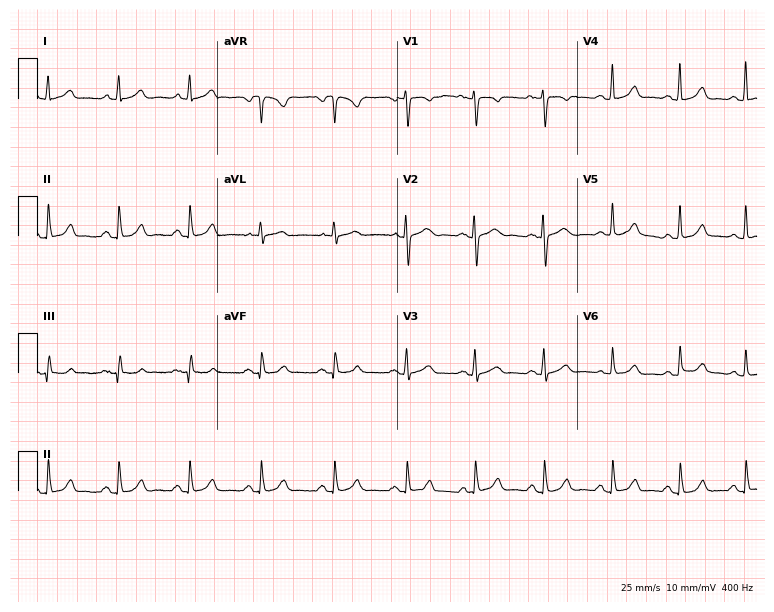
12-lead ECG from a female, 37 years old (7.3-second recording at 400 Hz). Recorded interpretation: within normal limits.